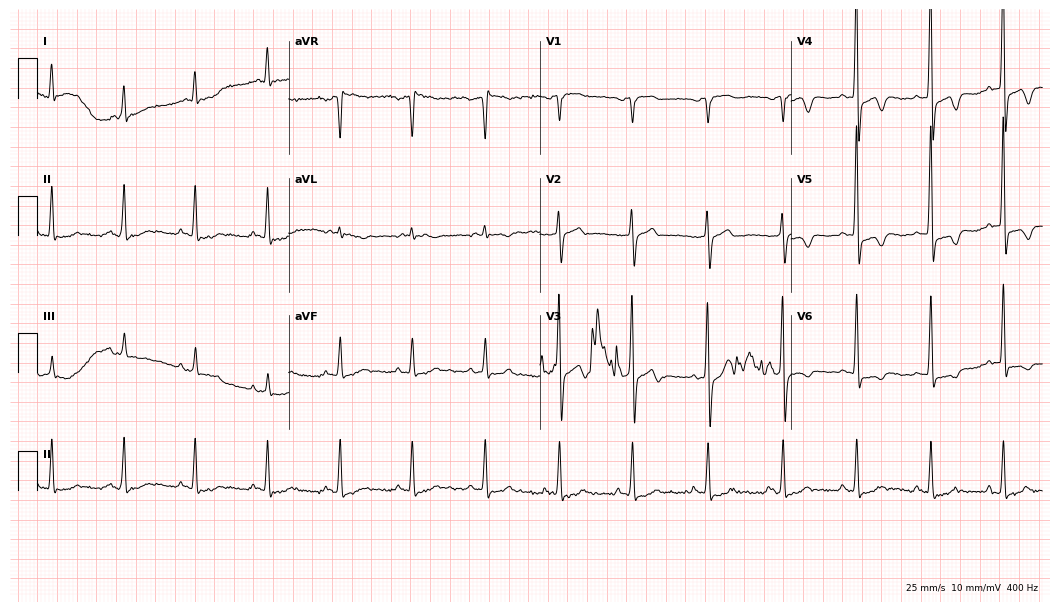
Electrocardiogram, a female, 82 years old. Of the six screened findings (first-degree AV block, right bundle branch block, left bundle branch block, sinus bradycardia, atrial fibrillation, sinus tachycardia), none is recorded.